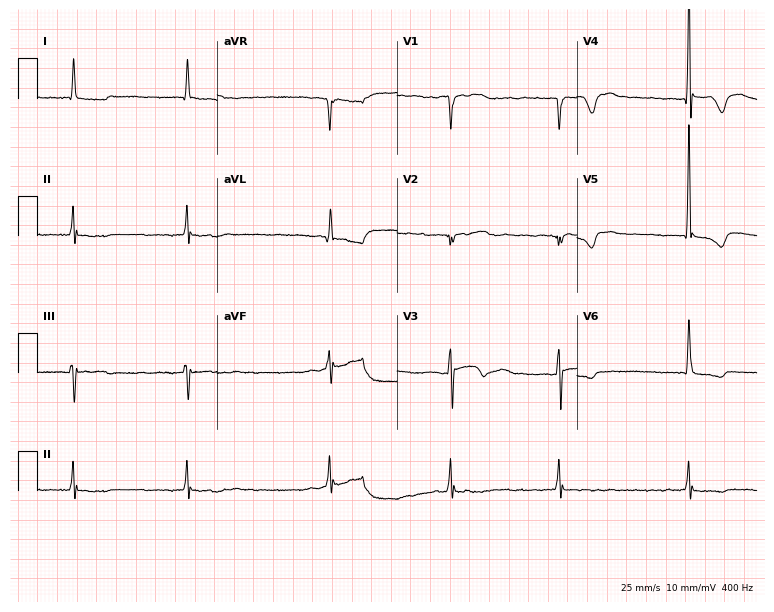
12-lead ECG (7.3-second recording at 400 Hz) from a 76-year-old male patient. Findings include atrial fibrillation.